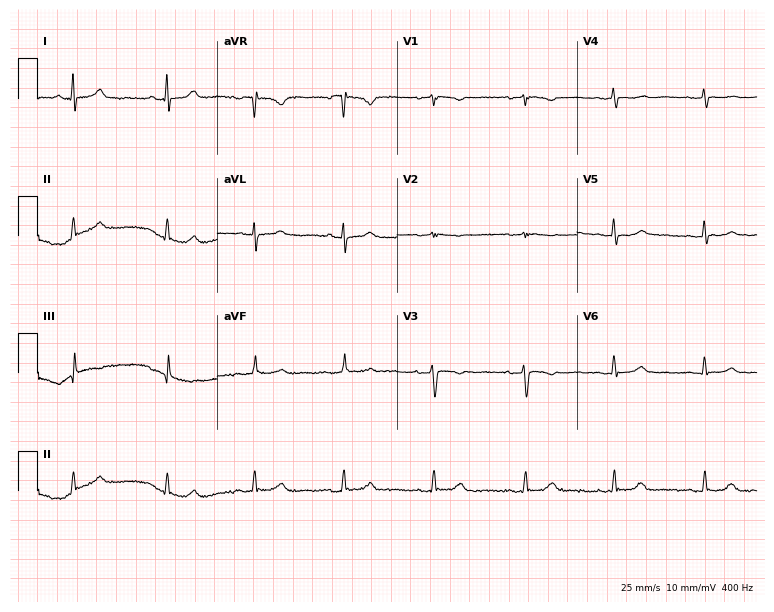
Standard 12-lead ECG recorded from a 56-year-old female patient (7.3-second recording at 400 Hz). None of these six findings is recorded: first-degree AV block, right bundle branch block (RBBB), left bundle branch block (LBBB), sinus bradycardia, atrial fibrillation (AF), sinus tachycardia.